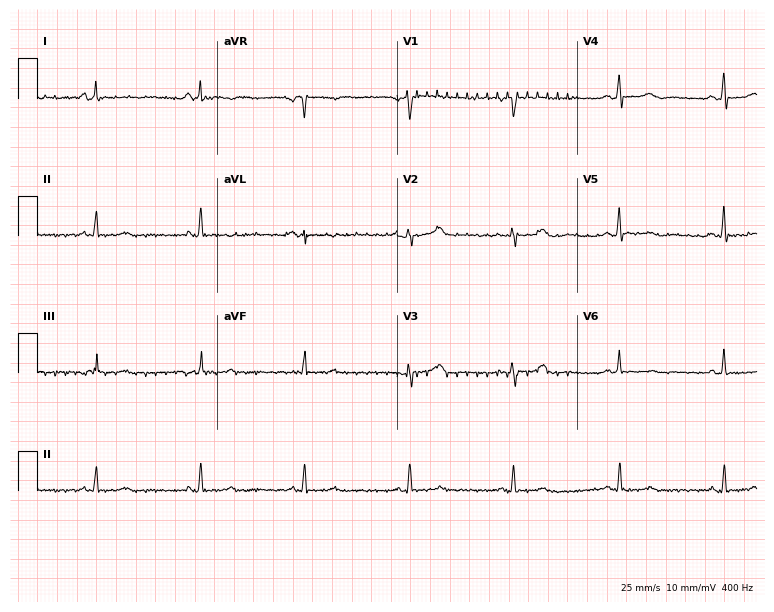
Resting 12-lead electrocardiogram (7.3-second recording at 400 Hz). Patient: a female, 61 years old. None of these six findings is recorded: first-degree AV block, right bundle branch block, left bundle branch block, sinus bradycardia, atrial fibrillation, sinus tachycardia. Only these six findings were labelled.